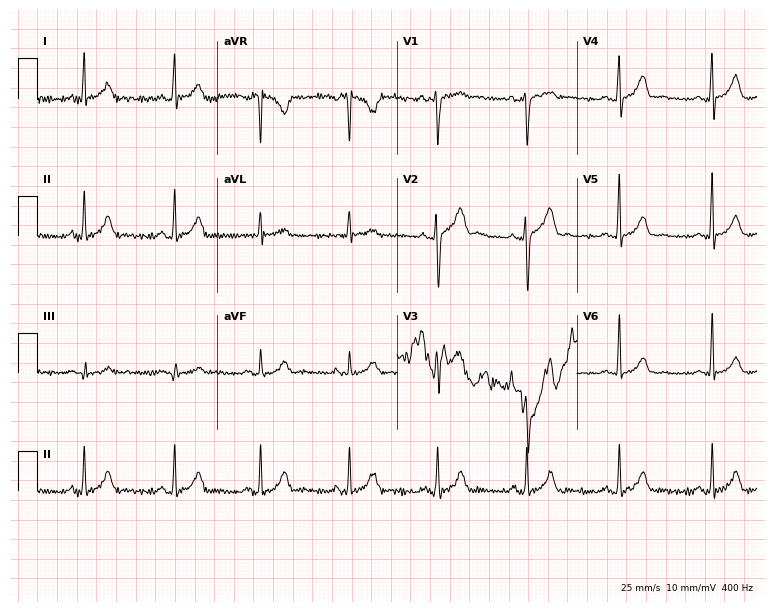
12-lead ECG from a 35-year-old male patient. Recorded interpretation: within normal limits.